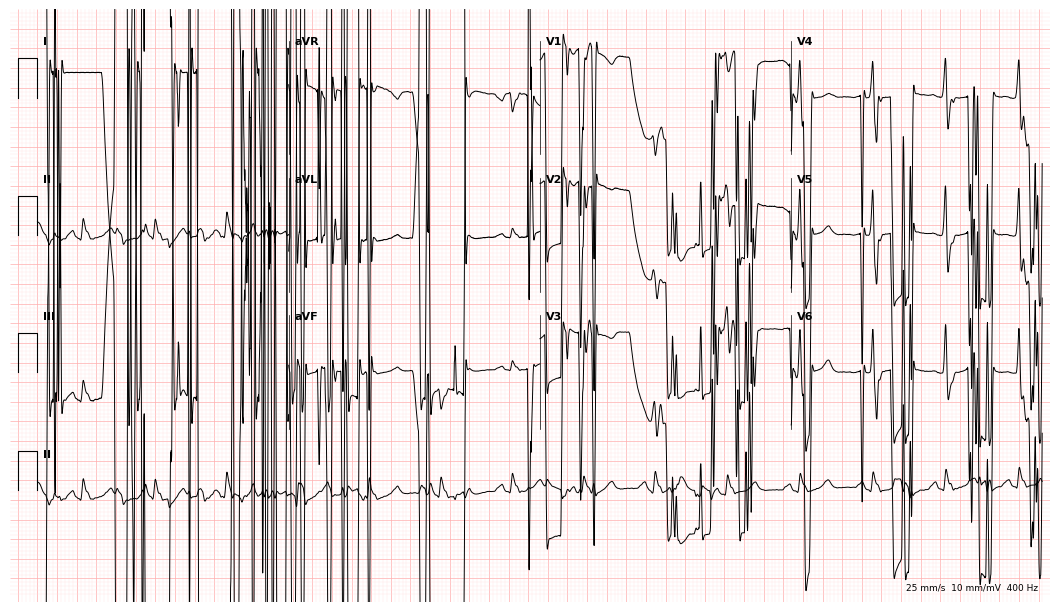
Electrocardiogram (10.2-second recording at 400 Hz), a female patient, 71 years old. Of the six screened findings (first-degree AV block, right bundle branch block, left bundle branch block, sinus bradycardia, atrial fibrillation, sinus tachycardia), none is recorded.